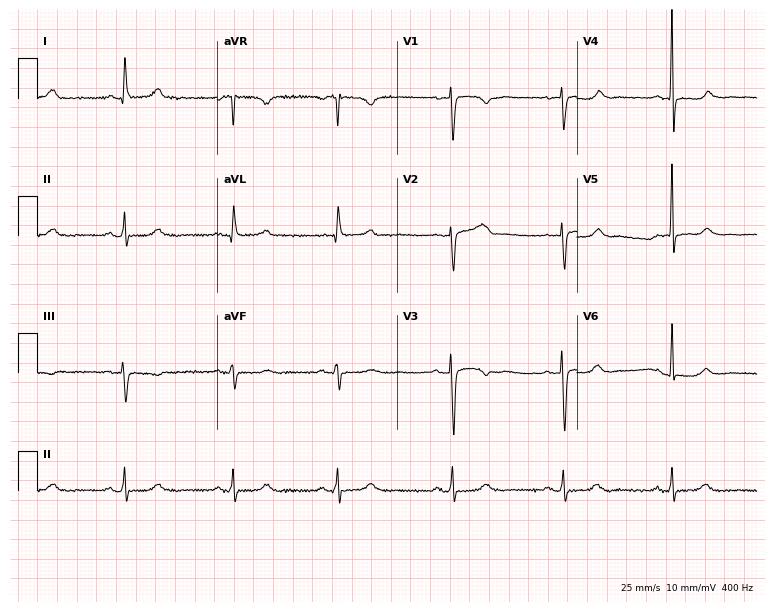
12-lead ECG from a female, 59 years old (7.3-second recording at 400 Hz). Recorded interpretation: within normal limits.